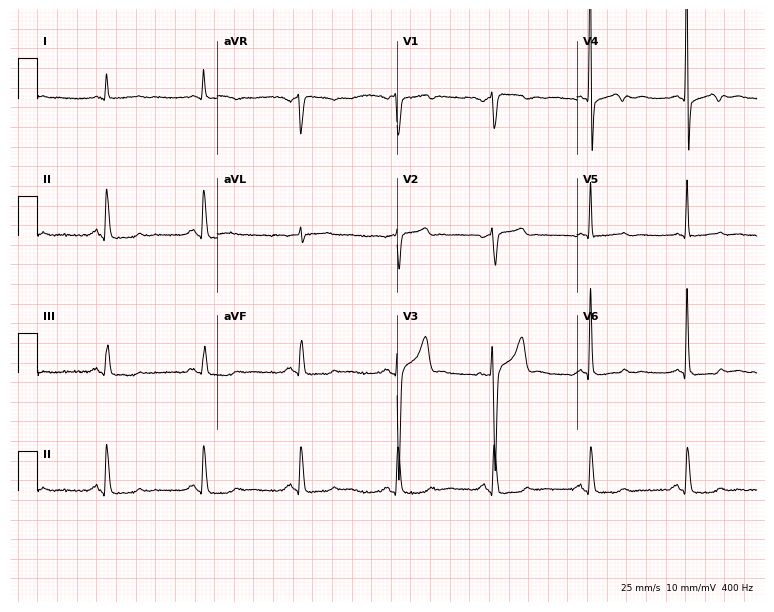
Resting 12-lead electrocardiogram. Patient: a 78-year-old male. Read as a normal ECG.